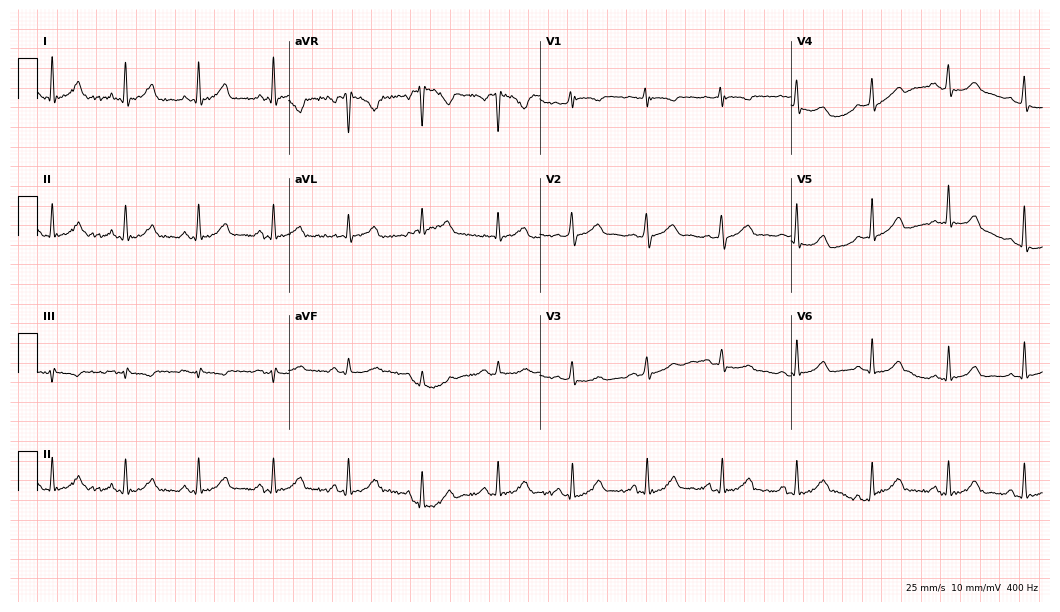
ECG — a 43-year-old female patient. Labelled as a normal ECG.